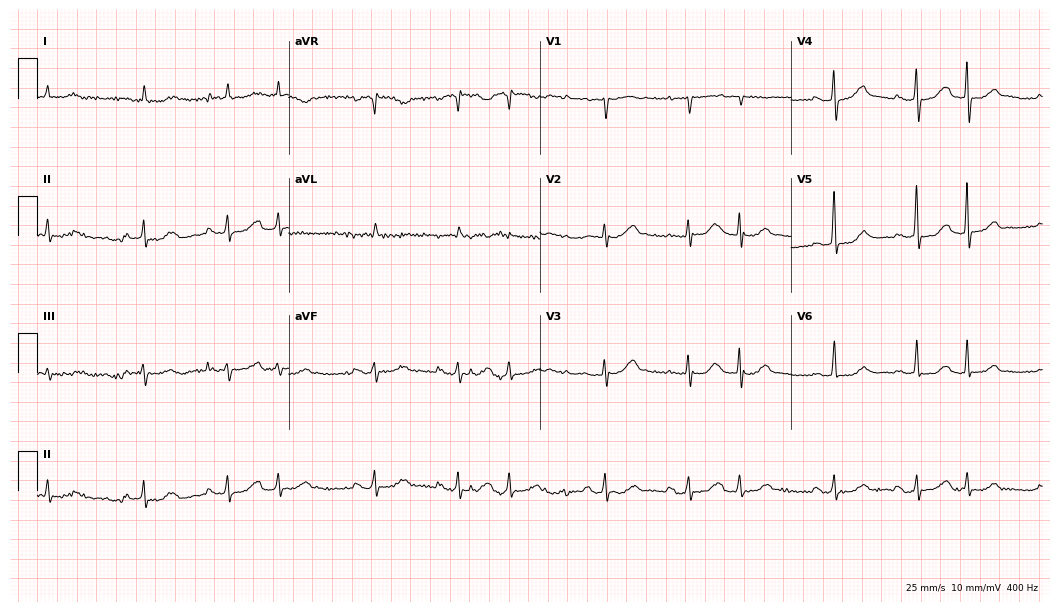
Electrocardiogram (10.2-second recording at 400 Hz), a woman, 80 years old. Of the six screened findings (first-degree AV block, right bundle branch block (RBBB), left bundle branch block (LBBB), sinus bradycardia, atrial fibrillation (AF), sinus tachycardia), none is recorded. Other findings, if any, are not listed.